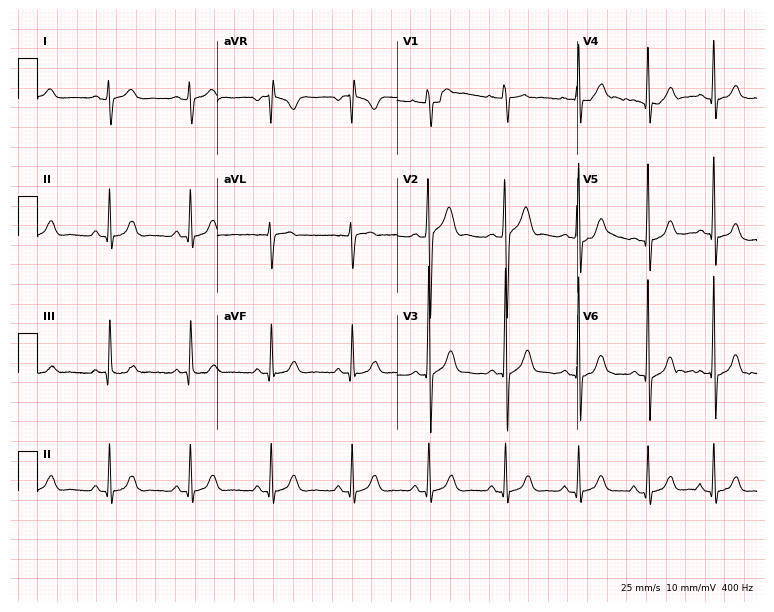
Resting 12-lead electrocardiogram (7.3-second recording at 400 Hz). Patient: a man, 17 years old. None of these six findings is recorded: first-degree AV block, right bundle branch block, left bundle branch block, sinus bradycardia, atrial fibrillation, sinus tachycardia.